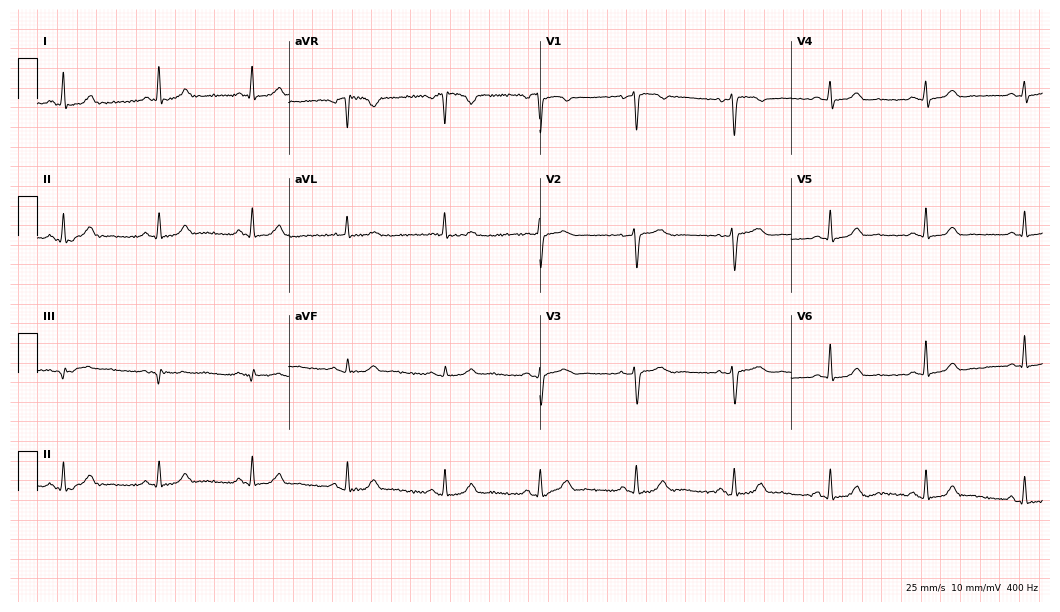
12-lead ECG from a 54-year-old woman (10.2-second recording at 400 Hz). No first-degree AV block, right bundle branch block, left bundle branch block, sinus bradycardia, atrial fibrillation or sinus tachycardia recorded for this tracing. Findings outside these six are not listed.